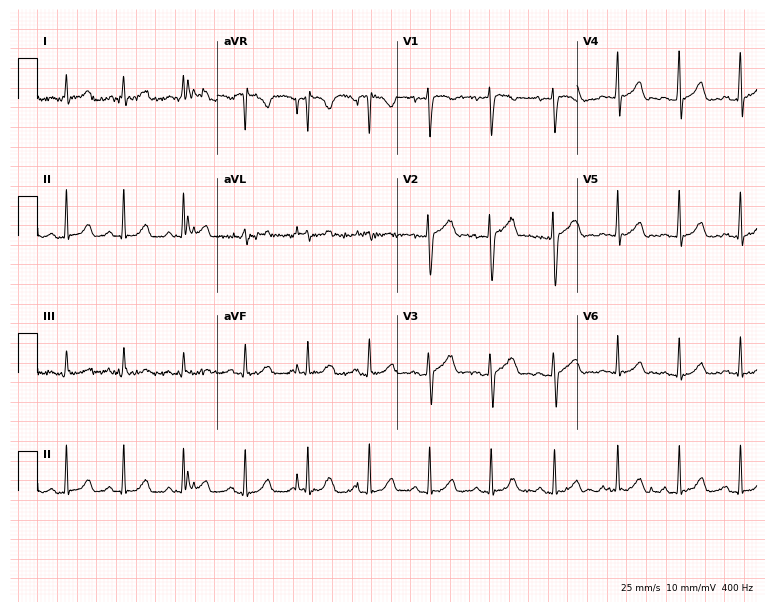
Electrocardiogram, a 34-year-old female. Overall reading on record: normal ECG.